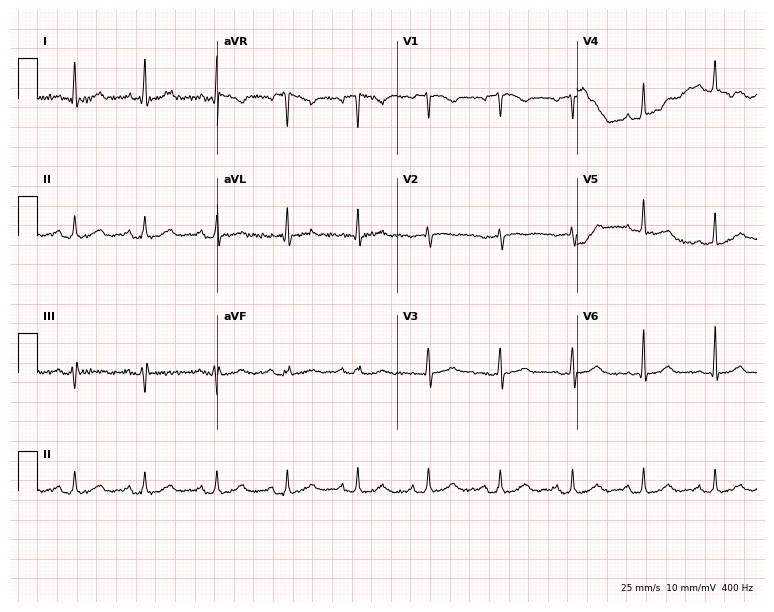
Resting 12-lead electrocardiogram. Patient: a 55-year-old female. Read as a normal ECG.